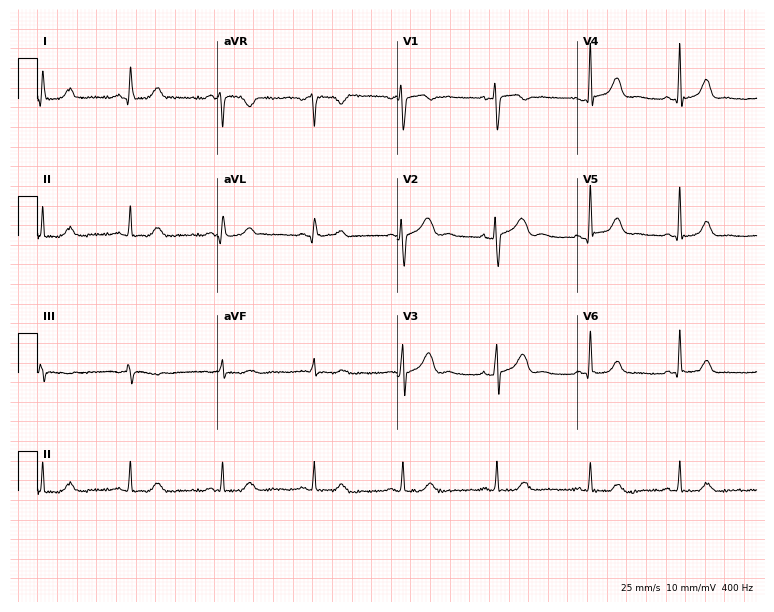
Standard 12-lead ECG recorded from a woman, 49 years old. Read as a normal ECG.